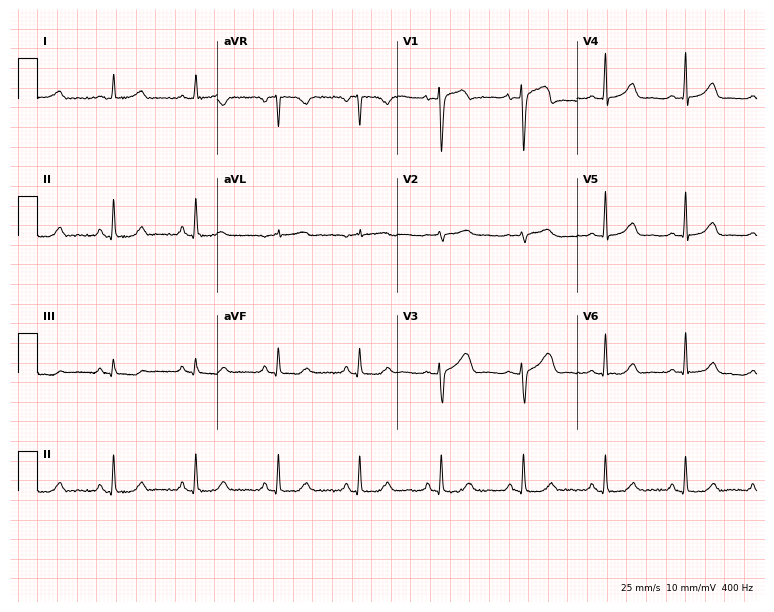
Electrocardiogram (7.3-second recording at 400 Hz), a woman, 50 years old. Overall reading on record: normal ECG.